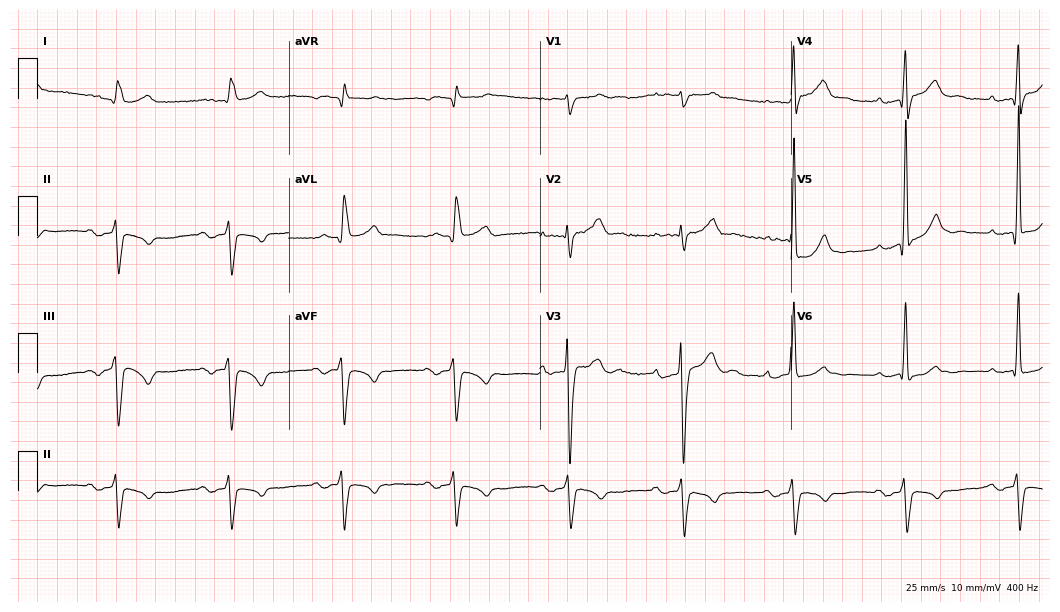
Resting 12-lead electrocardiogram. Patient: a man, 69 years old. None of these six findings is recorded: first-degree AV block, right bundle branch block, left bundle branch block, sinus bradycardia, atrial fibrillation, sinus tachycardia.